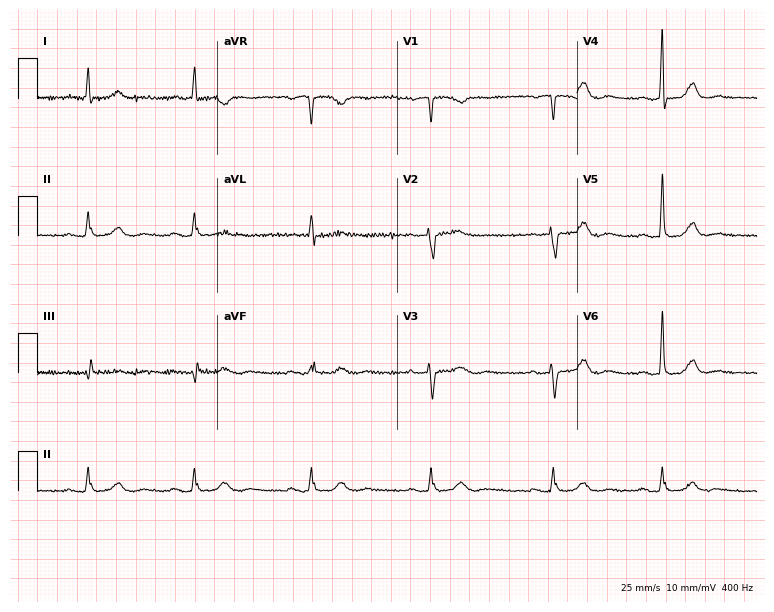
Standard 12-lead ECG recorded from a female patient, 65 years old. None of these six findings is recorded: first-degree AV block, right bundle branch block, left bundle branch block, sinus bradycardia, atrial fibrillation, sinus tachycardia. Findings outside these six are not listed.